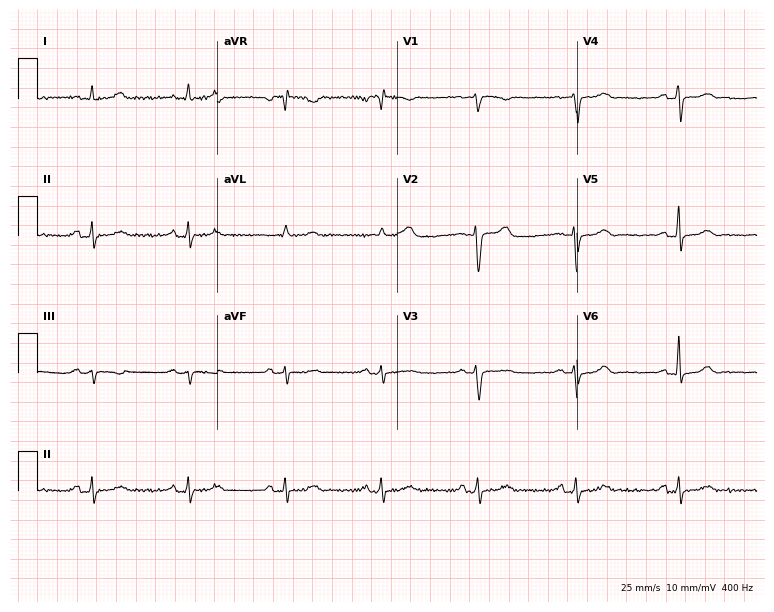
12-lead ECG from a 64-year-old woman. Labelled as a normal ECG.